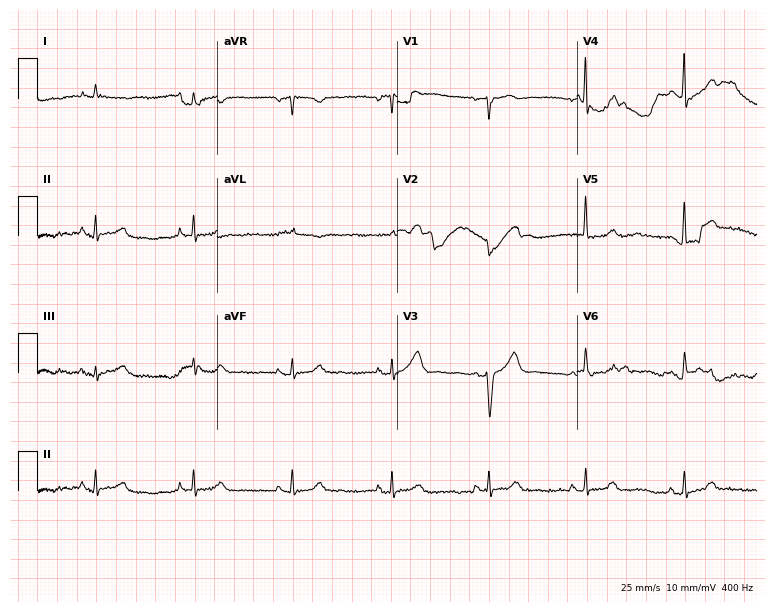
Standard 12-lead ECG recorded from a male patient, 70 years old. None of these six findings is recorded: first-degree AV block, right bundle branch block, left bundle branch block, sinus bradycardia, atrial fibrillation, sinus tachycardia.